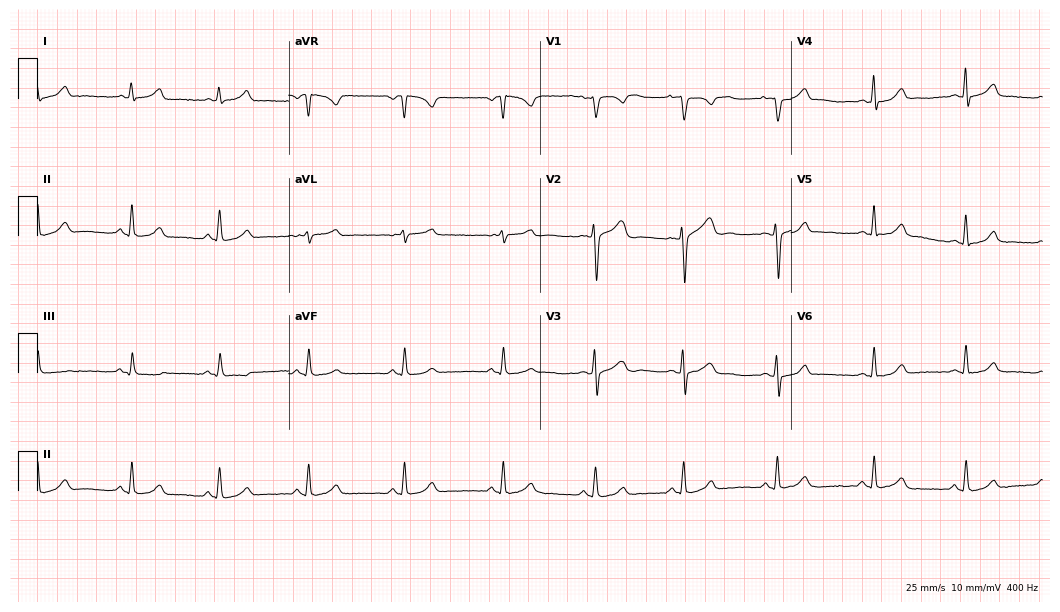
12-lead ECG from a 30-year-old female. Recorded interpretation: within normal limits.